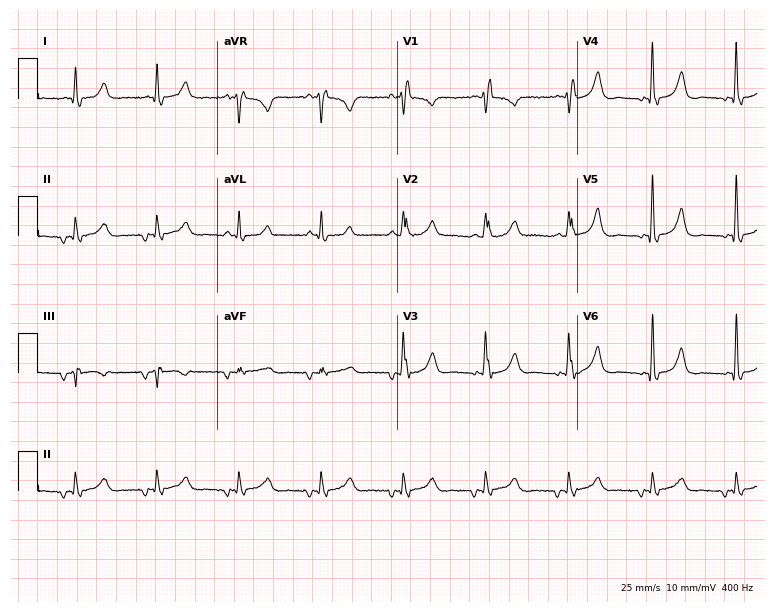
12-lead ECG from an 82-year-old male (7.3-second recording at 400 Hz). Shows right bundle branch block.